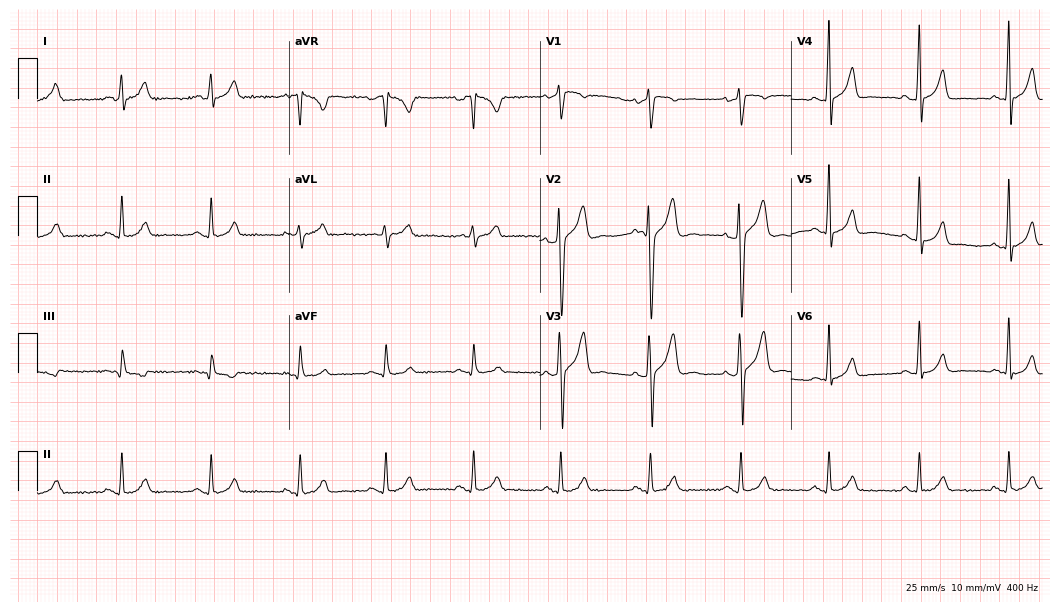
Standard 12-lead ECG recorded from a male, 37 years old (10.2-second recording at 400 Hz). Read as a normal ECG.